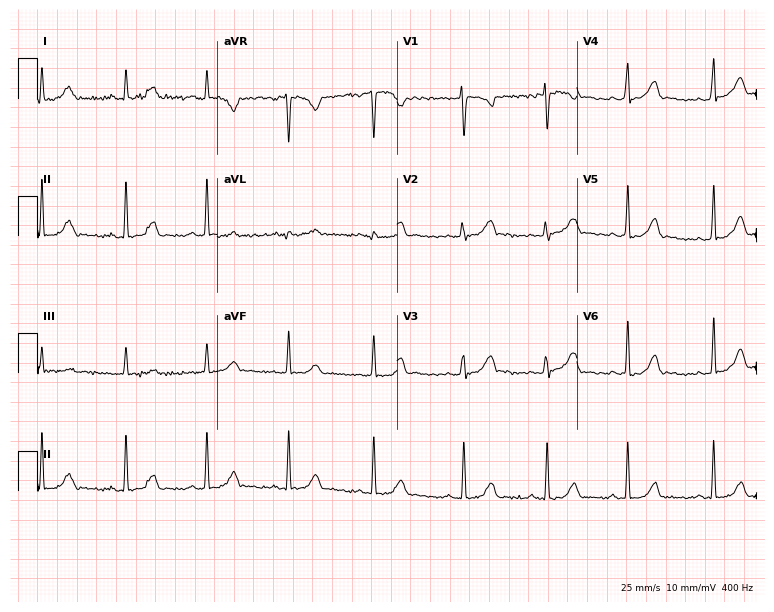
Resting 12-lead electrocardiogram (7.3-second recording at 400 Hz). Patient: a female, 21 years old. None of these six findings is recorded: first-degree AV block, right bundle branch block, left bundle branch block, sinus bradycardia, atrial fibrillation, sinus tachycardia. Only these six findings were labelled.